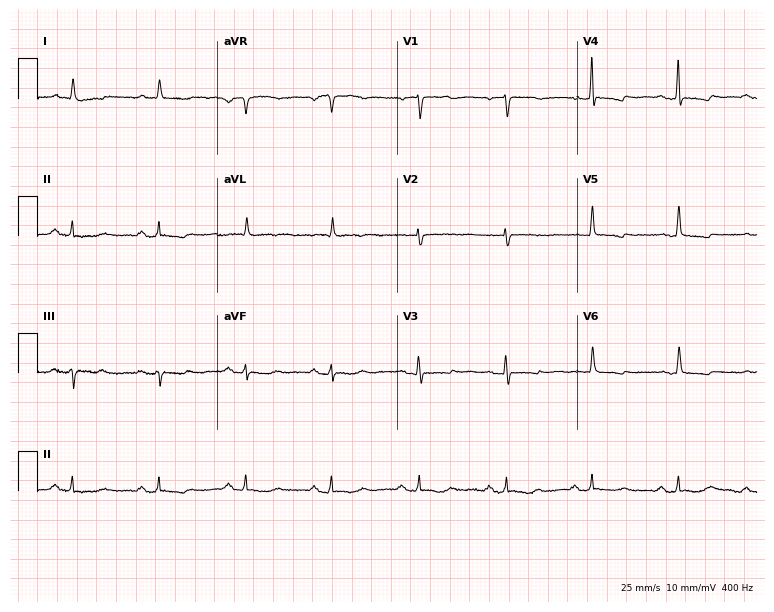
ECG (7.3-second recording at 400 Hz) — an 84-year-old female. Labelled as a normal ECG.